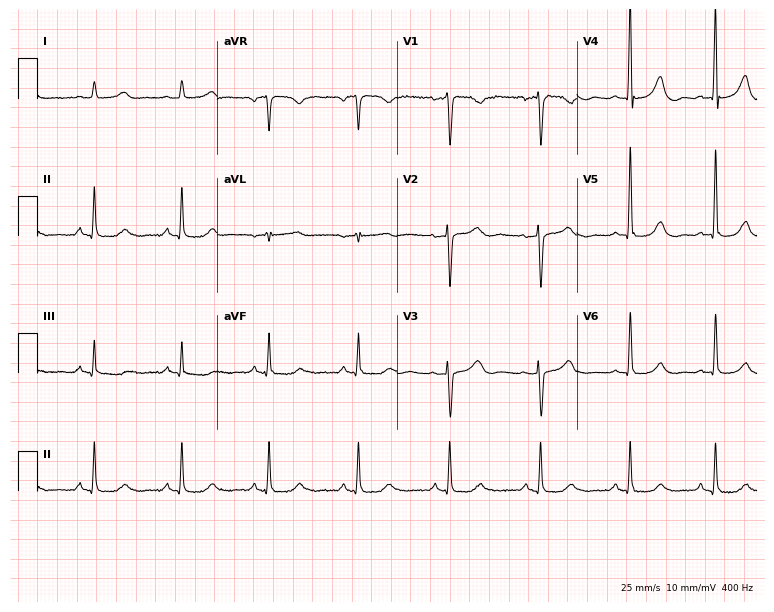
Standard 12-lead ECG recorded from a female, 60 years old (7.3-second recording at 400 Hz). Read as a normal ECG.